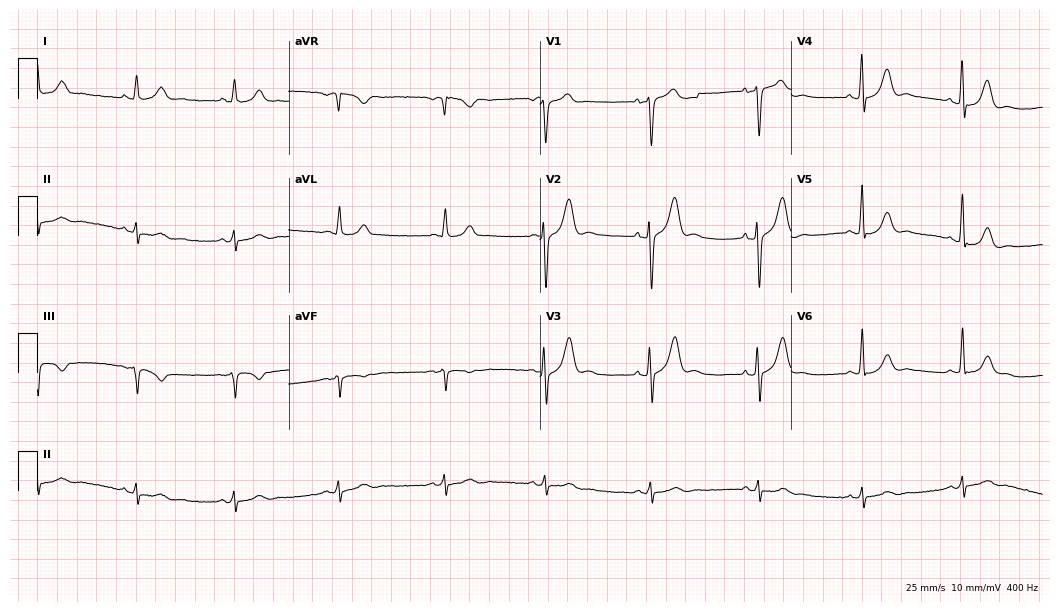
12-lead ECG from a 57-year-old male patient. Labelled as a normal ECG.